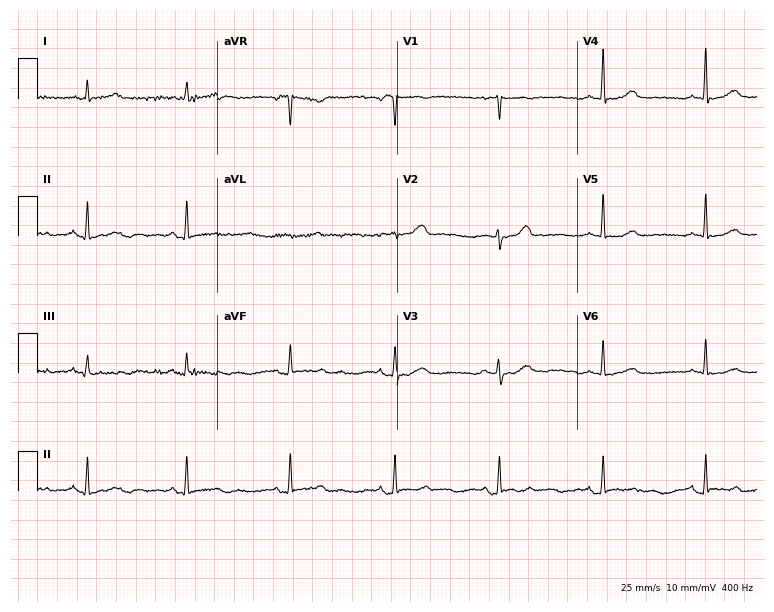
Resting 12-lead electrocardiogram. Patient: a 45-year-old woman. None of these six findings is recorded: first-degree AV block, right bundle branch block, left bundle branch block, sinus bradycardia, atrial fibrillation, sinus tachycardia.